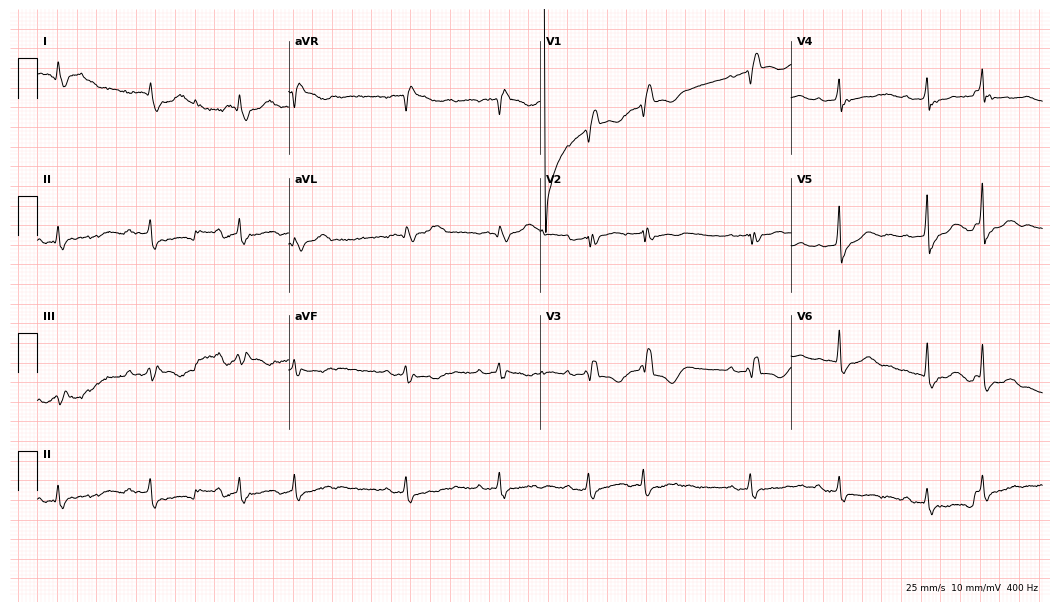
Electrocardiogram (10.2-second recording at 400 Hz), an 81-year-old female patient. Interpretation includes first-degree AV block, atrial fibrillation (AF).